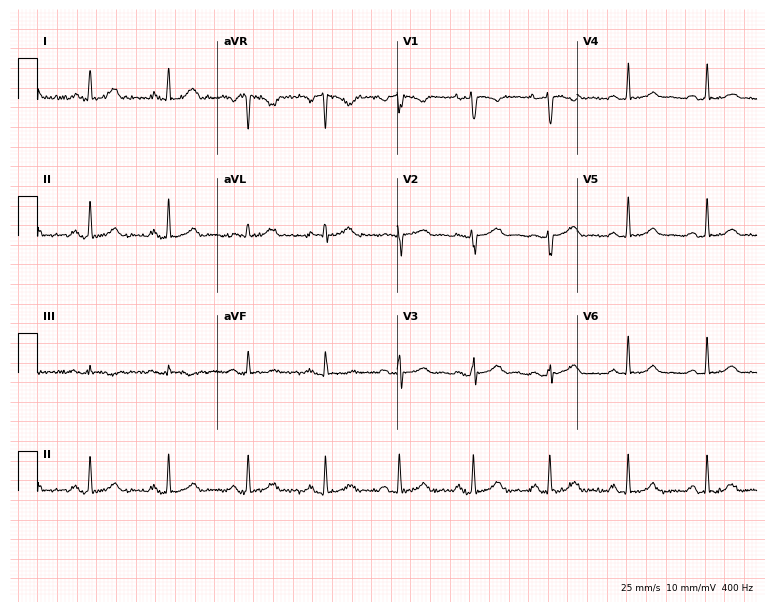
12-lead ECG from a woman, 34 years old. Screened for six findings — first-degree AV block, right bundle branch block (RBBB), left bundle branch block (LBBB), sinus bradycardia, atrial fibrillation (AF), sinus tachycardia — none is recorded. Findings outside these six are not listed.